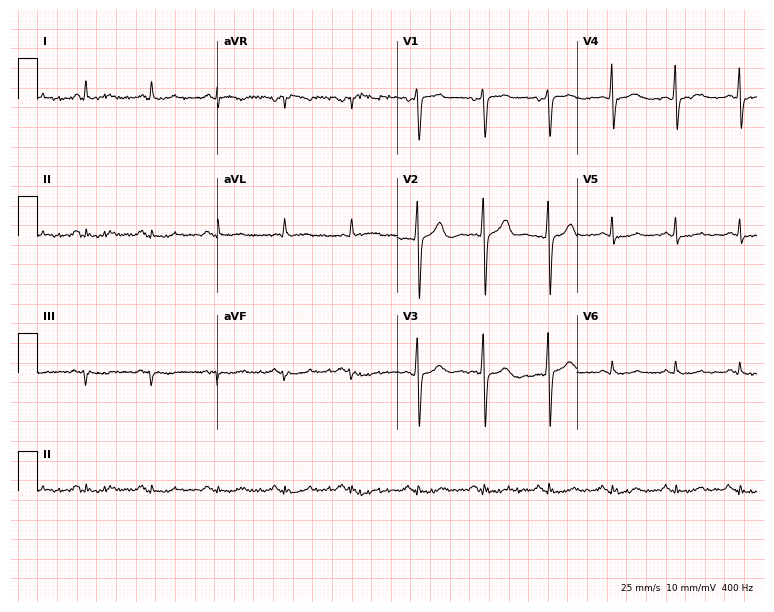
Resting 12-lead electrocardiogram (7.3-second recording at 400 Hz). Patient: a male, 42 years old. None of these six findings is recorded: first-degree AV block, right bundle branch block (RBBB), left bundle branch block (LBBB), sinus bradycardia, atrial fibrillation (AF), sinus tachycardia.